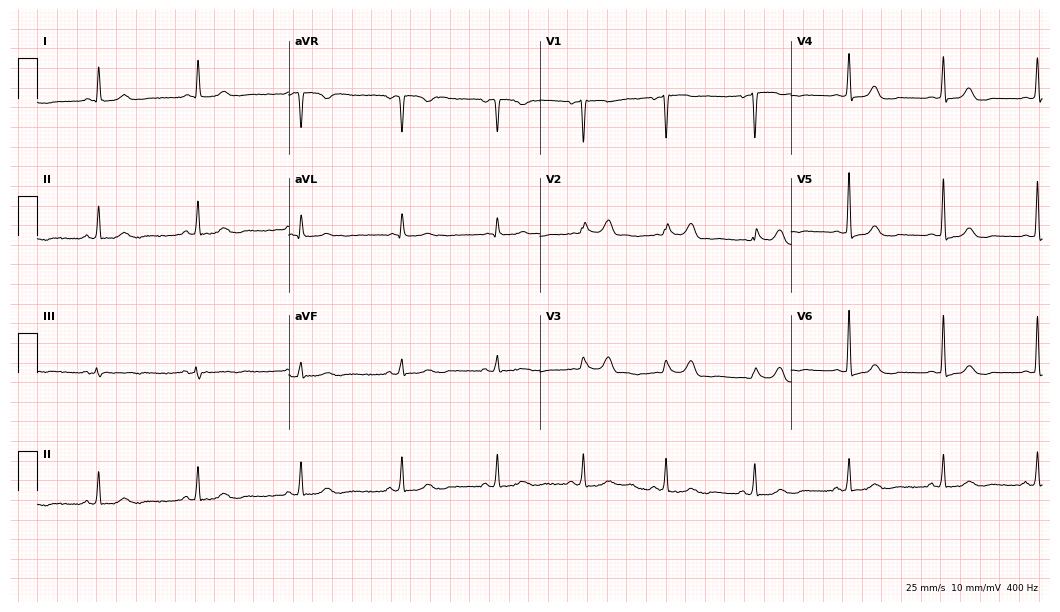
Standard 12-lead ECG recorded from a 55-year-old woman (10.2-second recording at 400 Hz). Read as a normal ECG.